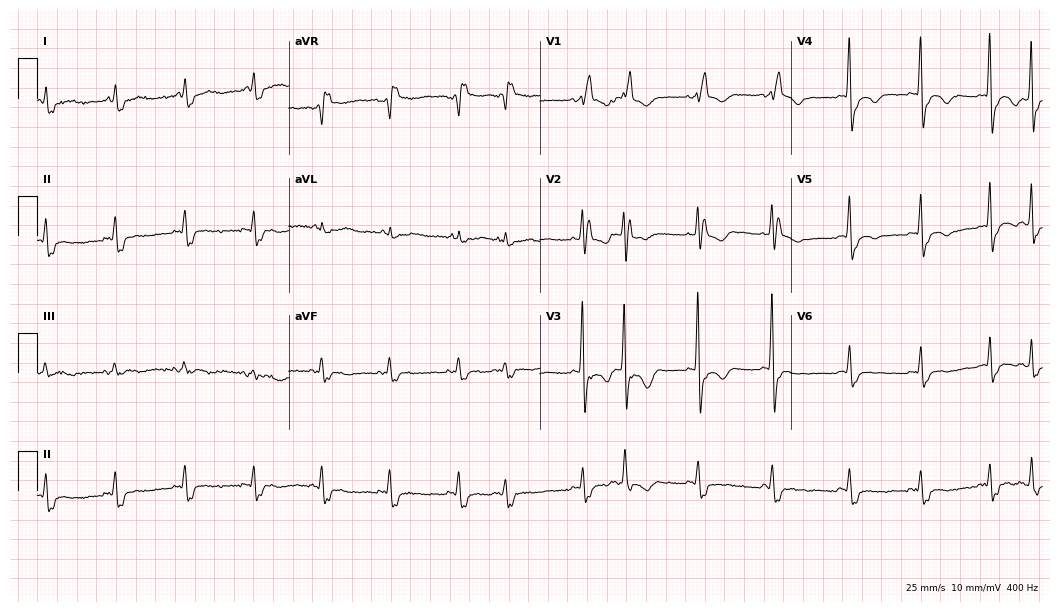
ECG (10.2-second recording at 400 Hz) — an 81-year-old female patient. Findings include right bundle branch block, atrial fibrillation.